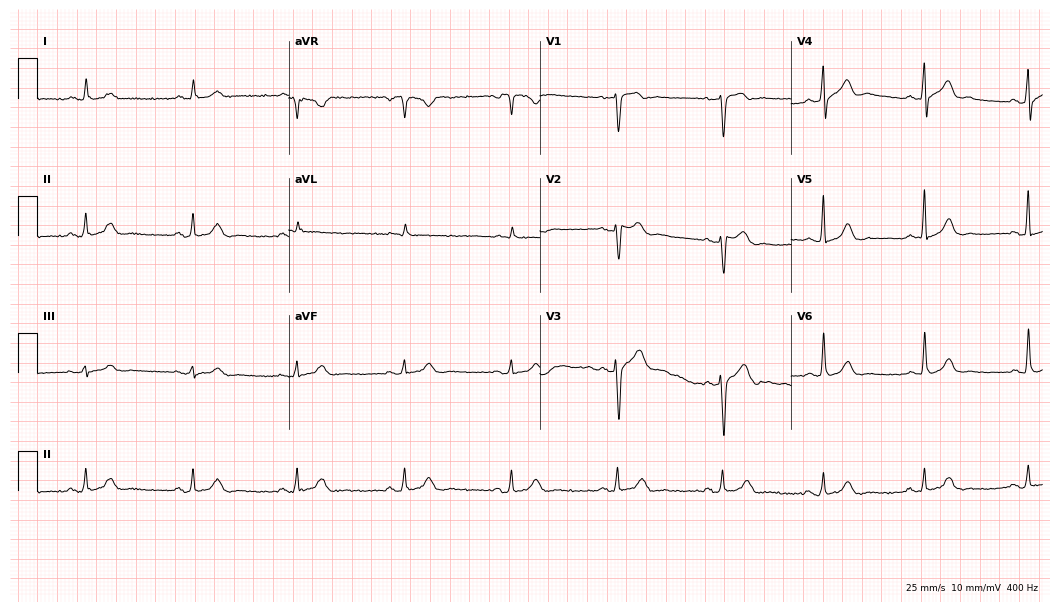
12-lead ECG from a 60-year-old male. Screened for six findings — first-degree AV block, right bundle branch block, left bundle branch block, sinus bradycardia, atrial fibrillation, sinus tachycardia — none is recorded. Only these six findings were labelled.